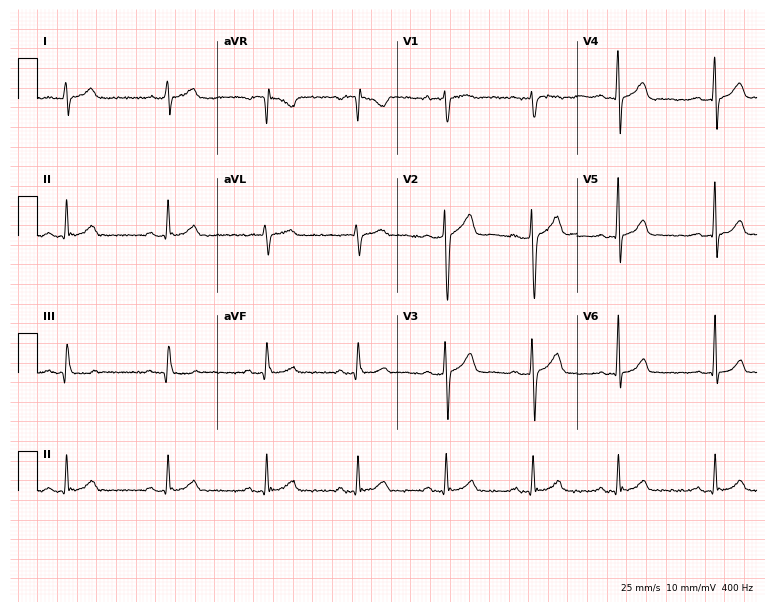
Resting 12-lead electrocardiogram (7.3-second recording at 400 Hz). Patient: a man, 32 years old. Read as a normal ECG.